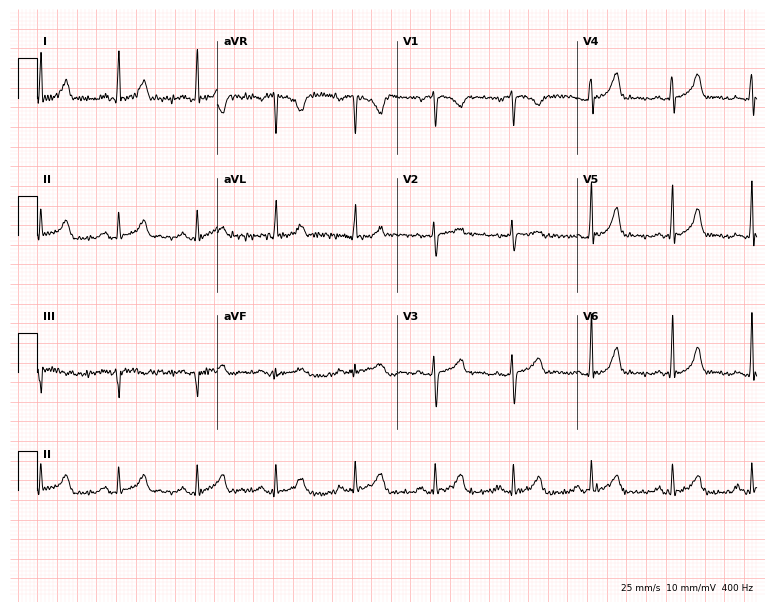
ECG (7.3-second recording at 400 Hz) — a 35-year-old female. Labelled as a normal ECG.